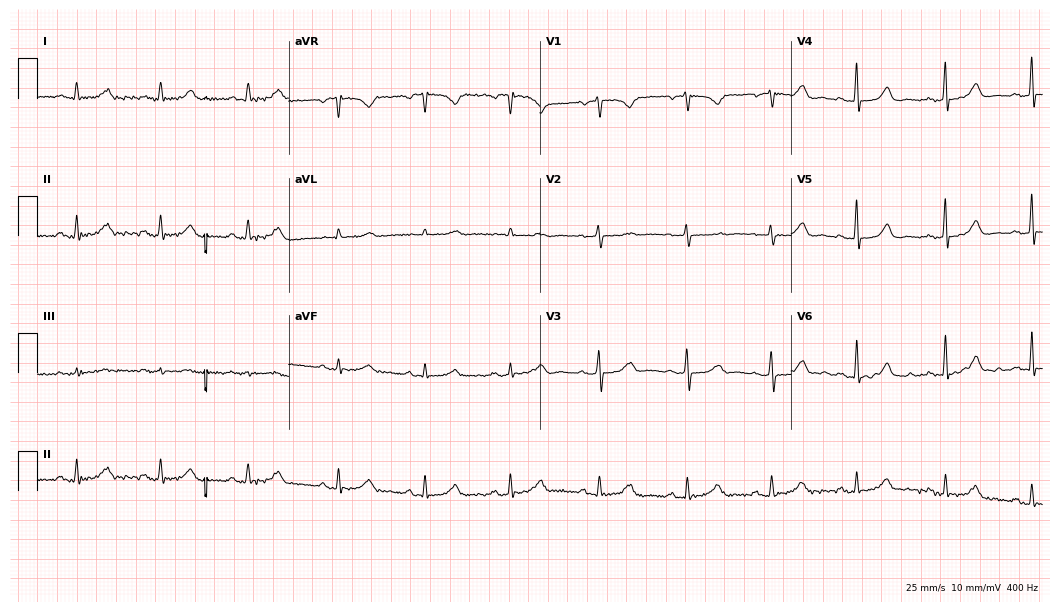
12-lead ECG from a female patient, 45 years old. Labelled as a normal ECG.